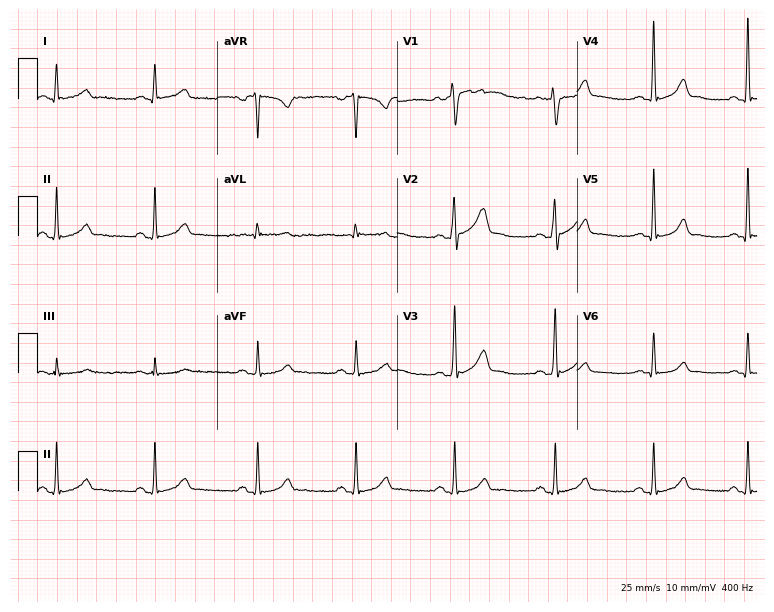
12-lead ECG from a man, 55 years old. Recorded interpretation: within normal limits.